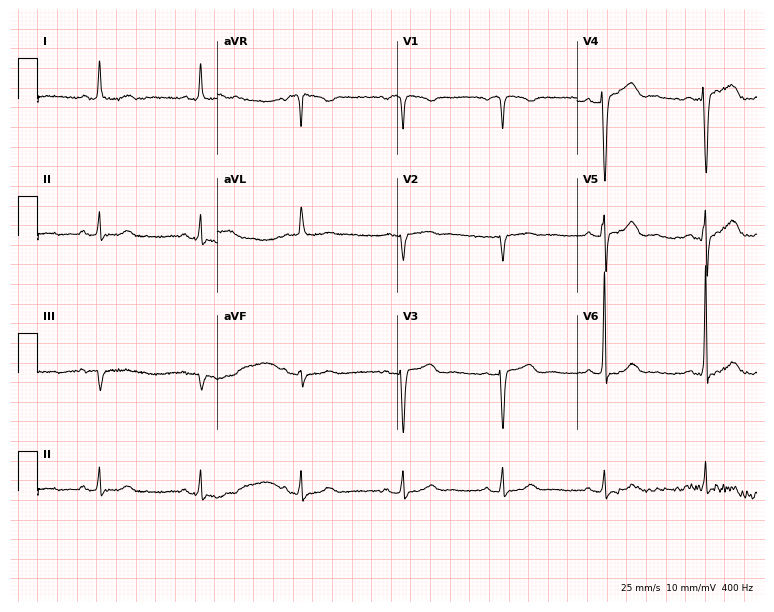
12-lead ECG (7.3-second recording at 400 Hz) from a 62-year-old female. Screened for six findings — first-degree AV block, right bundle branch block, left bundle branch block, sinus bradycardia, atrial fibrillation, sinus tachycardia — none is recorded. Findings outside these six are not listed.